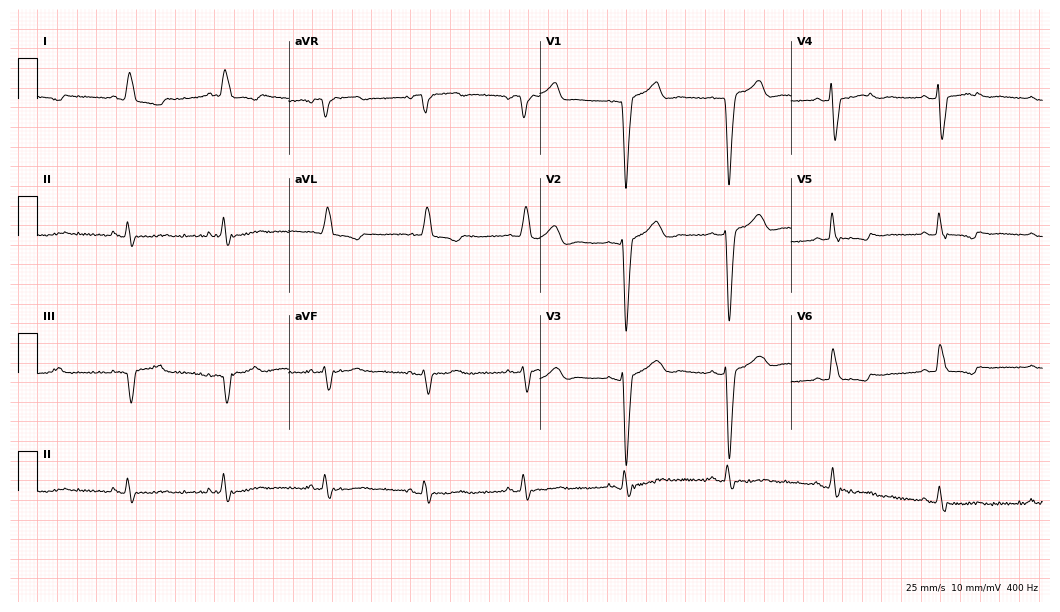
Electrocardiogram (10.2-second recording at 400 Hz), a 72-year-old woman. Interpretation includes left bundle branch block (LBBB).